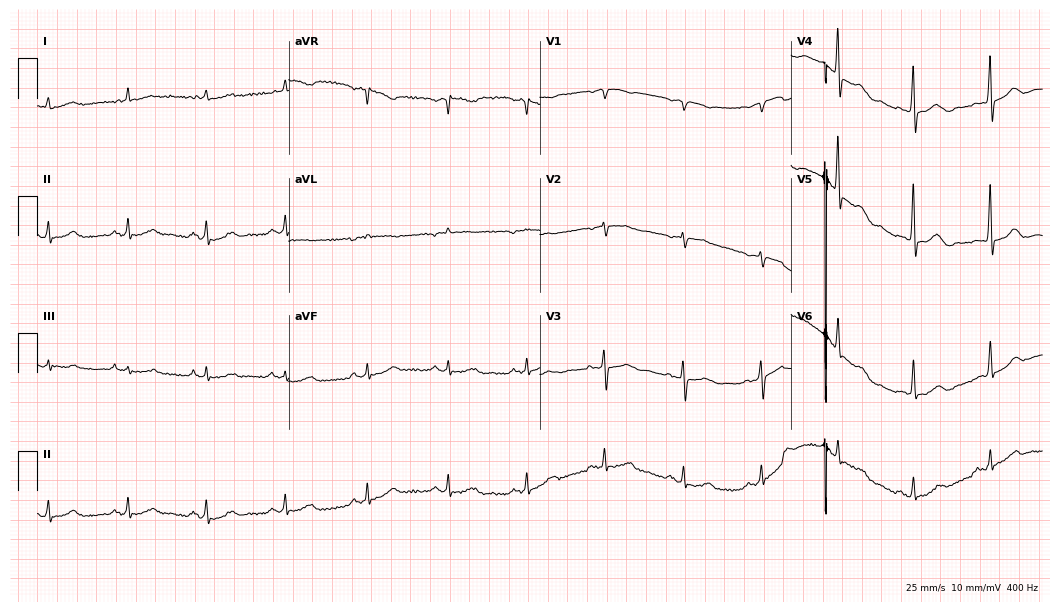
Resting 12-lead electrocardiogram. Patient: an 83-year-old female. None of these six findings is recorded: first-degree AV block, right bundle branch block (RBBB), left bundle branch block (LBBB), sinus bradycardia, atrial fibrillation (AF), sinus tachycardia. Only these six findings were labelled.